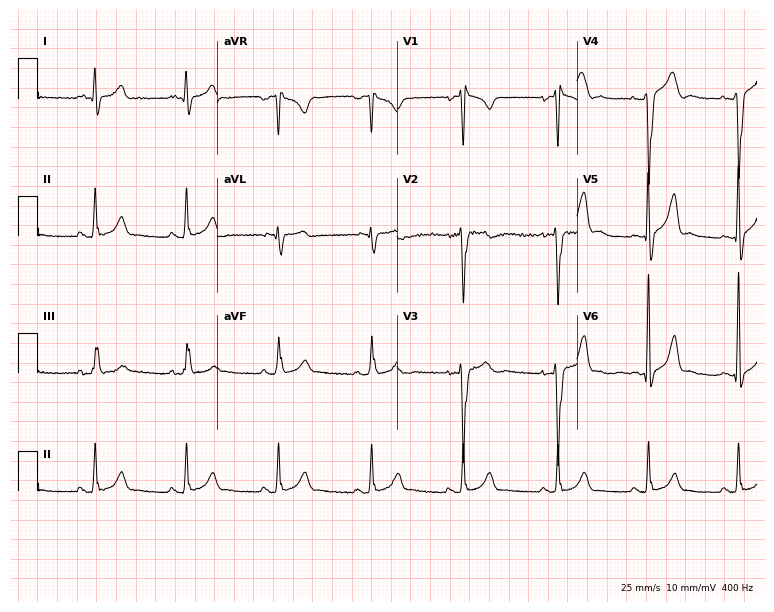
12-lead ECG (7.3-second recording at 400 Hz) from a 23-year-old male. Screened for six findings — first-degree AV block, right bundle branch block (RBBB), left bundle branch block (LBBB), sinus bradycardia, atrial fibrillation (AF), sinus tachycardia — none is recorded. Other findings, if any, are not listed.